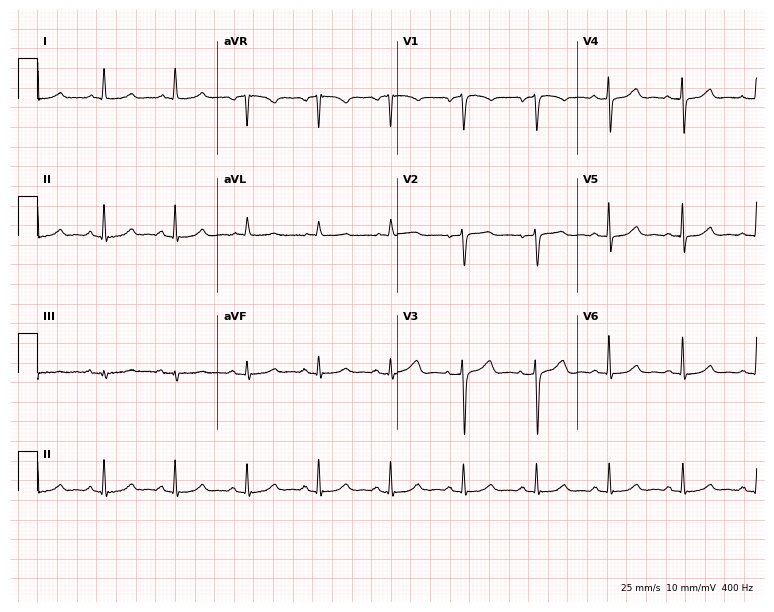
Electrocardiogram, an 83-year-old woman. Overall reading on record: normal ECG.